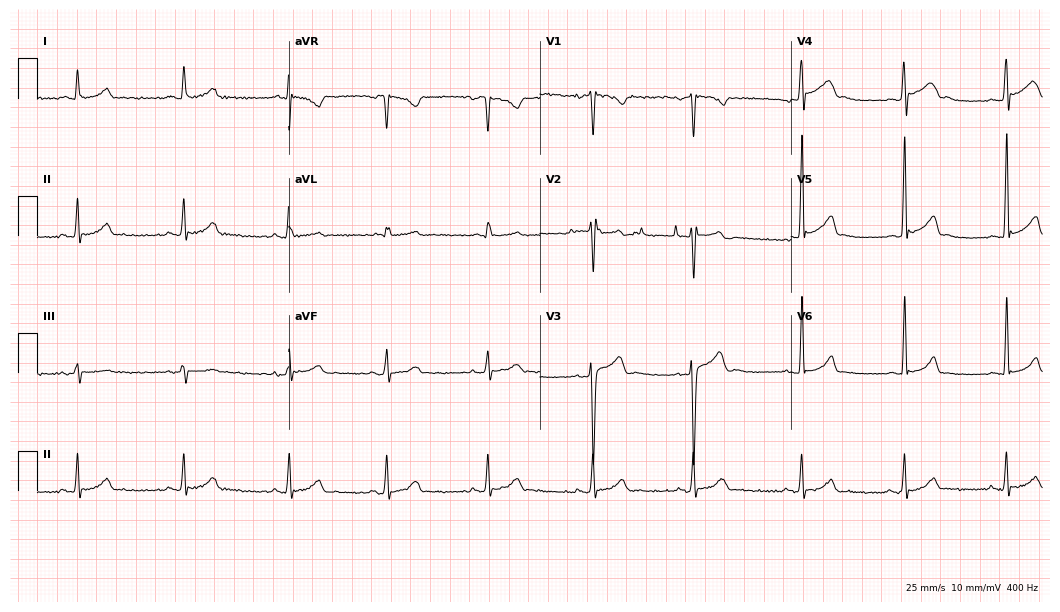
12-lead ECG from a 17-year-old male. Screened for six findings — first-degree AV block, right bundle branch block (RBBB), left bundle branch block (LBBB), sinus bradycardia, atrial fibrillation (AF), sinus tachycardia — none is recorded. Other findings, if any, are not listed.